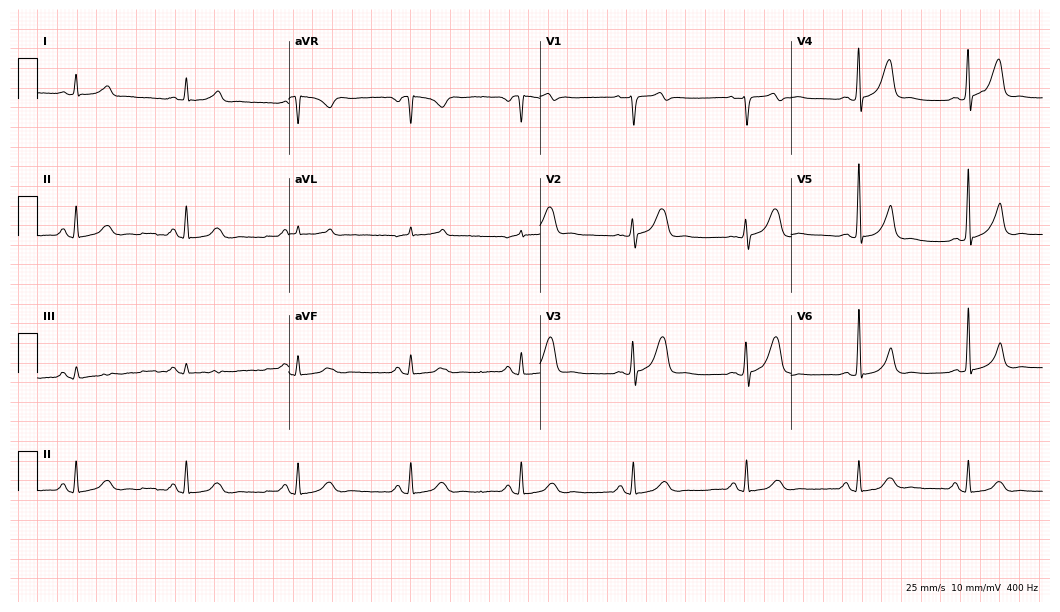
Standard 12-lead ECG recorded from a 73-year-old male. None of these six findings is recorded: first-degree AV block, right bundle branch block (RBBB), left bundle branch block (LBBB), sinus bradycardia, atrial fibrillation (AF), sinus tachycardia.